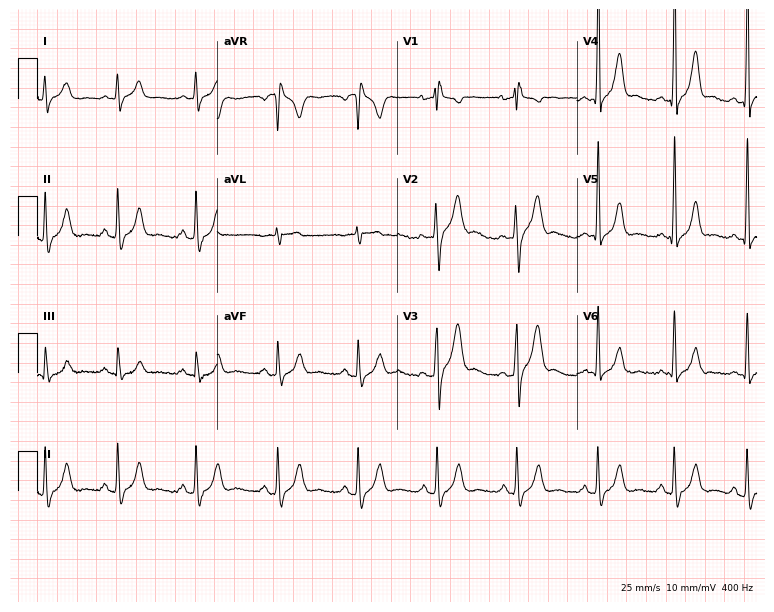
Electrocardiogram (7.3-second recording at 400 Hz), a male, 23 years old. Of the six screened findings (first-degree AV block, right bundle branch block (RBBB), left bundle branch block (LBBB), sinus bradycardia, atrial fibrillation (AF), sinus tachycardia), none is recorded. Other findings, if any, are not listed.